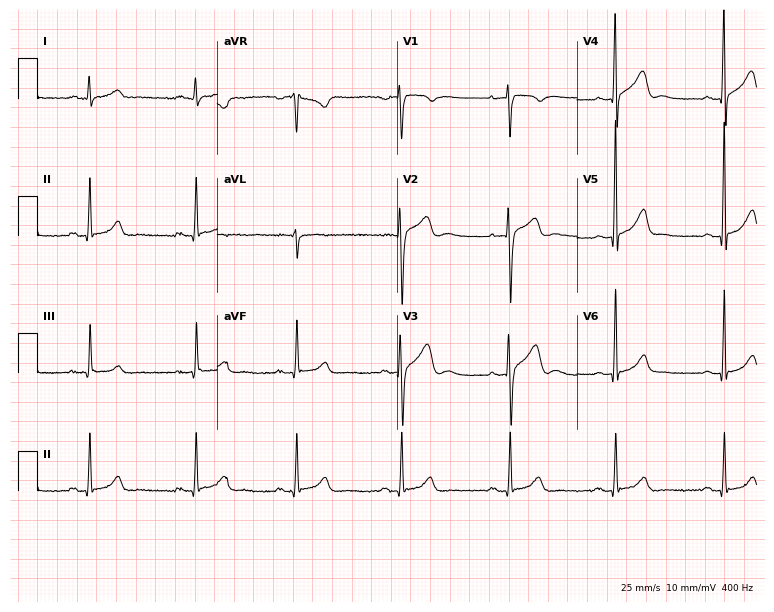
Electrocardiogram, a 36-year-old male. Overall reading on record: normal ECG.